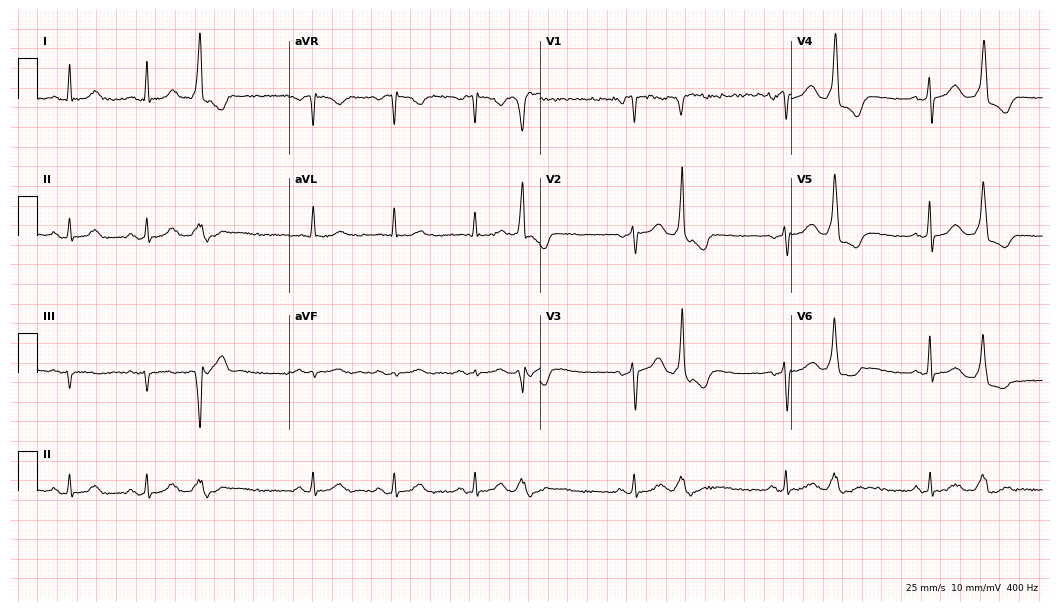
ECG (10.2-second recording at 400 Hz) — a 61-year-old female patient. Screened for six findings — first-degree AV block, right bundle branch block, left bundle branch block, sinus bradycardia, atrial fibrillation, sinus tachycardia — none is recorded. Other findings, if any, are not listed.